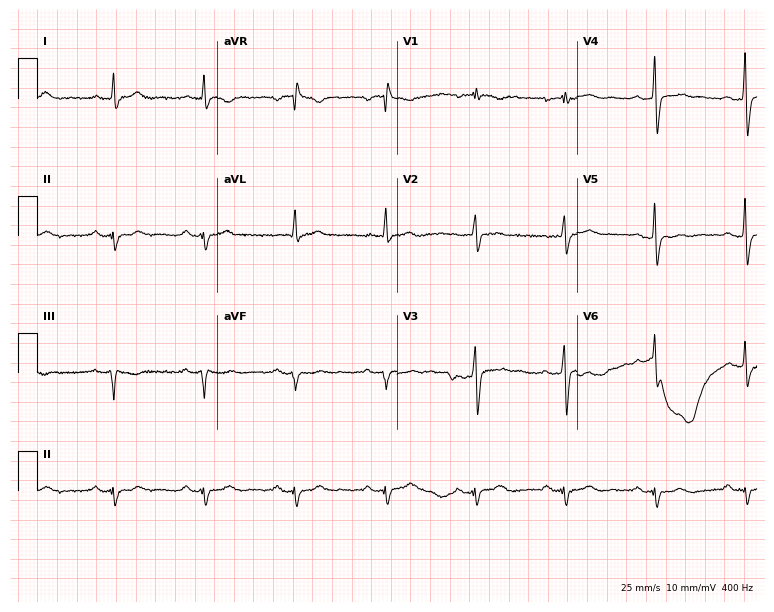
Standard 12-lead ECG recorded from a male patient, 42 years old. None of these six findings is recorded: first-degree AV block, right bundle branch block, left bundle branch block, sinus bradycardia, atrial fibrillation, sinus tachycardia. Findings outside these six are not listed.